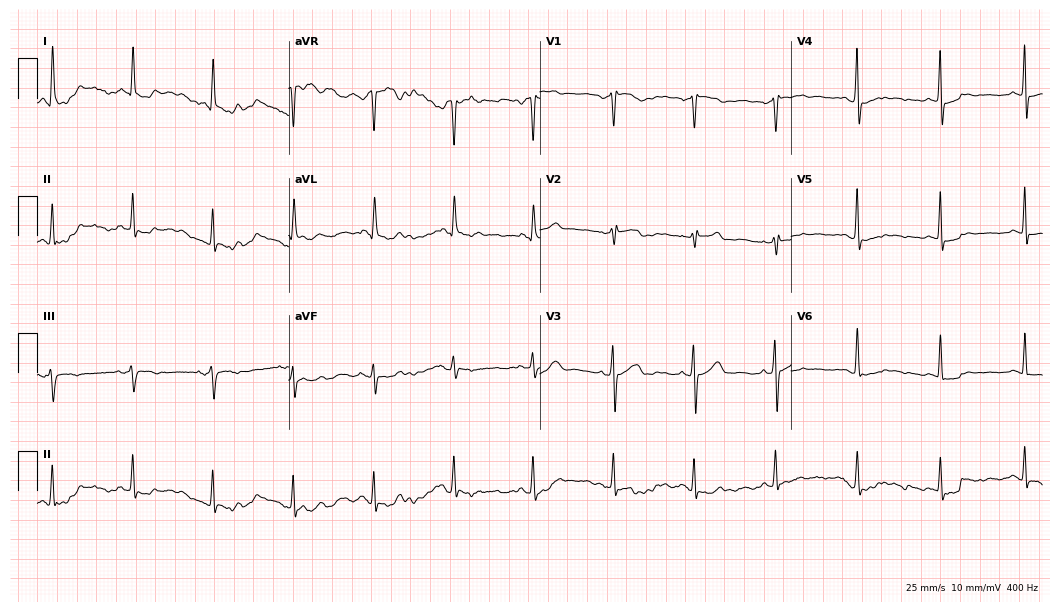
12-lead ECG from a woman, 59 years old (10.2-second recording at 400 Hz). No first-degree AV block, right bundle branch block (RBBB), left bundle branch block (LBBB), sinus bradycardia, atrial fibrillation (AF) or sinus tachycardia recorded for this tracing.